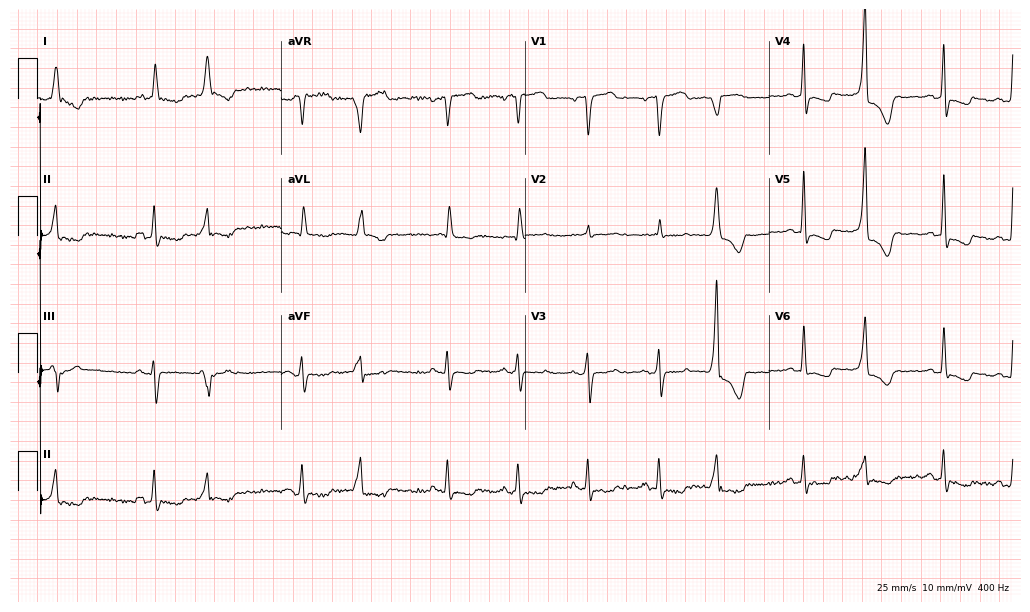
12-lead ECG from a 72-year-old female. Screened for six findings — first-degree AV block, right bundle branch block, left bundle branch block, sinus bradycardia, atrial fibrillation, sinus tachycardia — none is recorded.